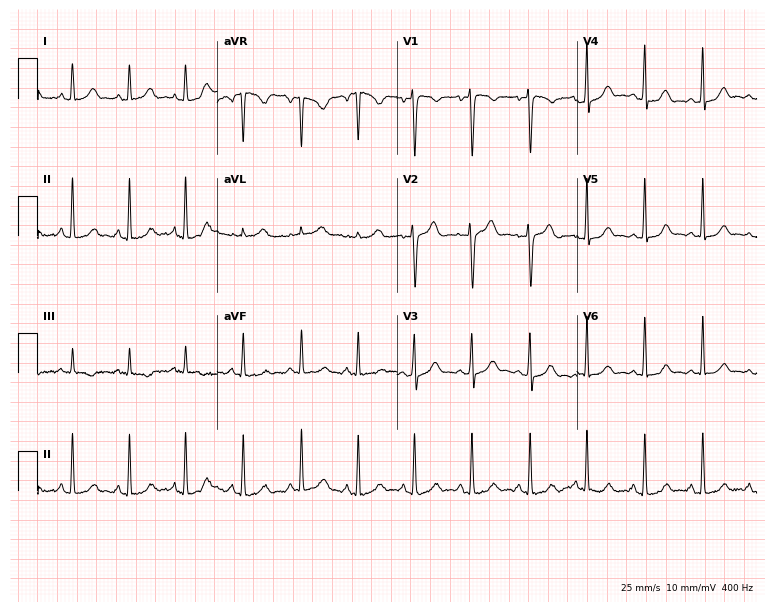
Resting 12-lead electrocardiogram (7.3-second recording at 400 Hz). Patient: a female, 18 years old. The tracing shows sinus tachycardia (a sinus rate of 100 beats per minute or more).